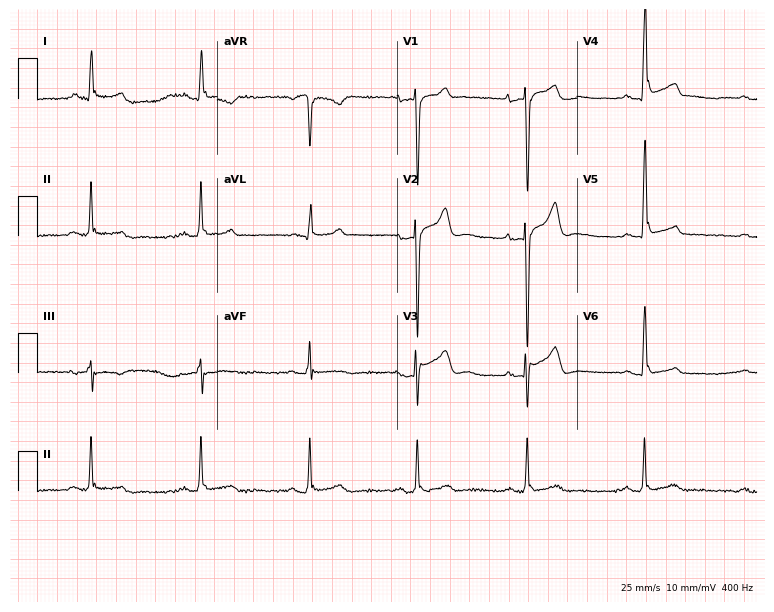
Electrocardiogram (7.3-second recording at 400 Hz), a man, 37 years old. Of the six screened findings (first-degree AV block, right bundle branch block (RBBB), left bundle branch block (LBBB), sinus bradycardia, atrial fibrillation (AF), sinus tachycardia), none is recorded. Findings outside these six are not listed.